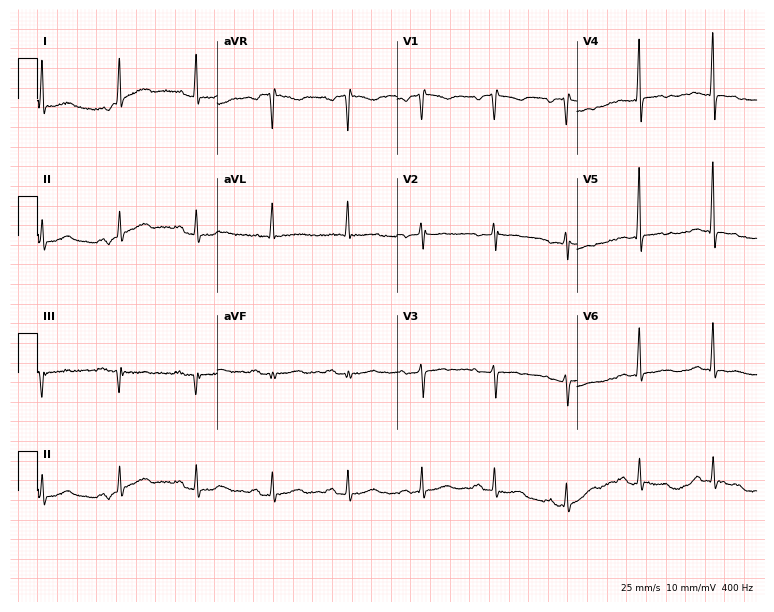
Electrocardiogram, a 73-year-old female. Of the six screened findings (first-degree AV block, right bundle branch block, left bundle branch block, sinus bradycardia, atrial fibrillation, sinus tachycardia), none is recorded. Other findings, if any, are not listed.